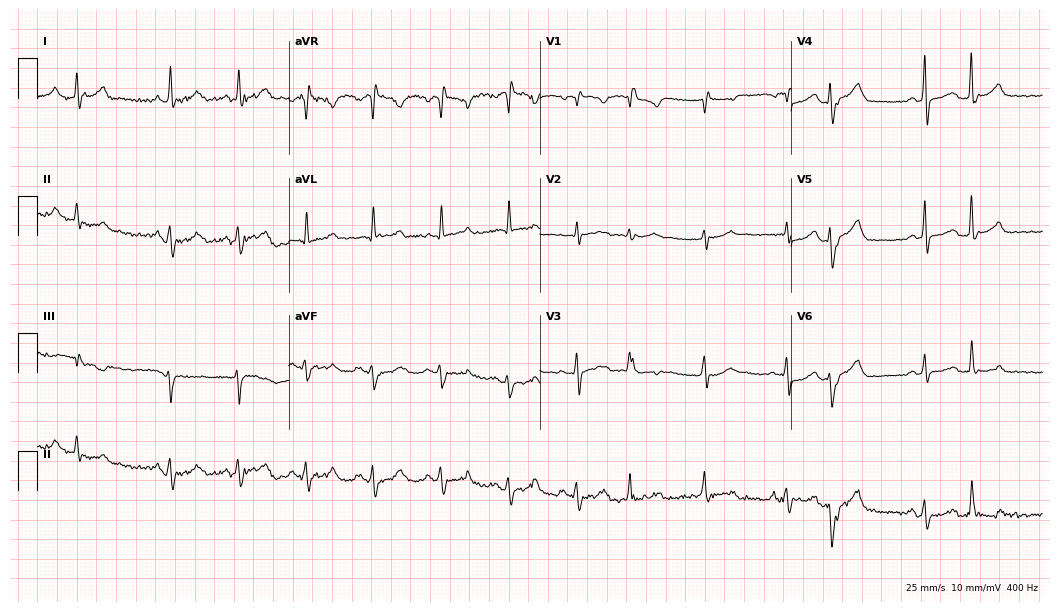
Resting 12-lead electrocardiogram. Patient: a woman, 62 years old. None of these six findings is recorded: first-degree AV block, right bundle branch block (RBBB), left bundle branch block (LBBB), sinus bradycardia, atrial fibrillation (AF), sinus tachycardia.